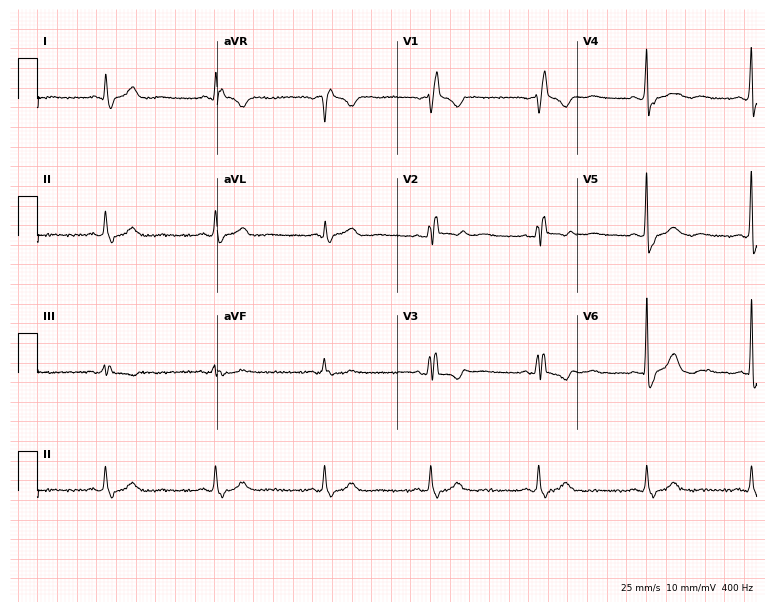
ECG — a man, 78 years old. Findings include right bundle branch block (RBBB).